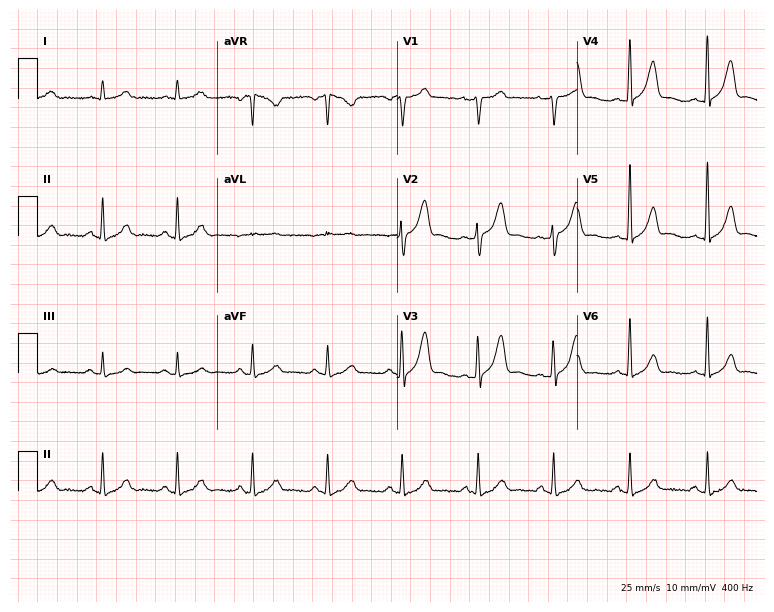
12-lead ECG from a male, 57 years old (7.3-second recording at 400 Hz). Recorded interpretation: within normal limits.